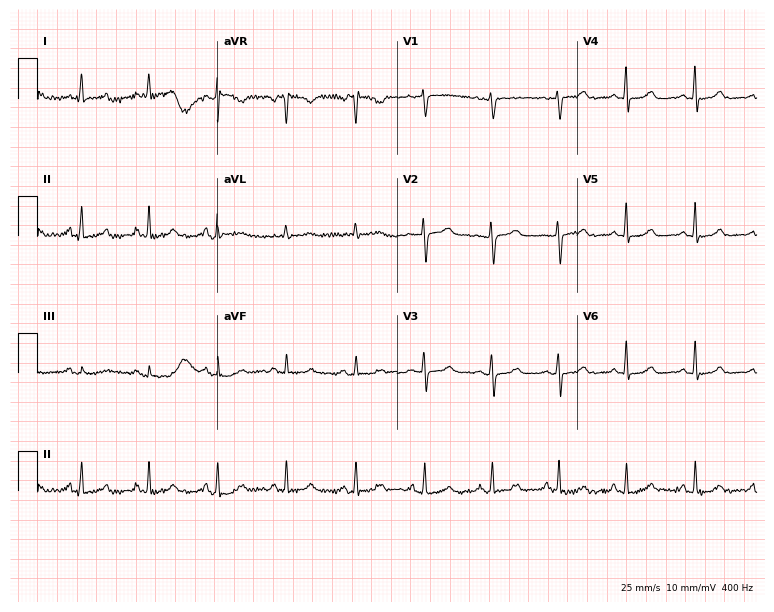
ECG (7.3-second recording at 400 Hz) — a female, 45 years old. Screened for six findings — first-degree AV block, right bundle branch block, left bundle branch block, sinus bradycardia, atrial fibrillation, sinus tachycardia — none is recorded. Other findings, if any, are not listed.